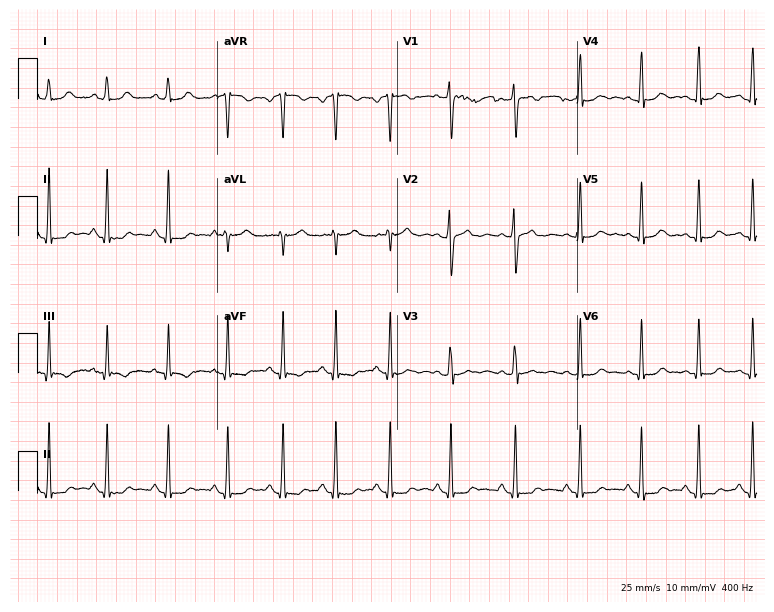
Resting 12-lead electrocardiogram (7.3-second recording at 400 Hz). Patient: a female, 17 years old. None of these six findings is recorded: first-degree AV block, right bundle branch block, left bundle branch block, sinus bradycardia, atrial fibrillation, sinus tachycardia.